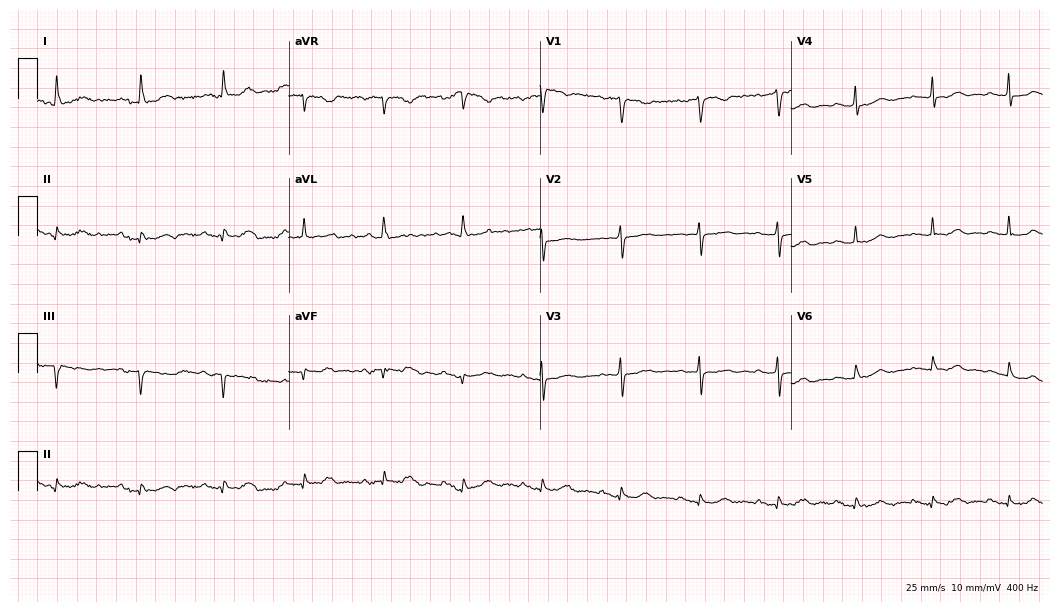
Electrocardiogram, a female, 72 years old. Of the six screened findings (first-degree AV block, right bundle branch block, left bundle branch block, sinus bradycardia, atrial fibrillation, sinus tachycardia), none is recorded. Only these six findings were labelled.